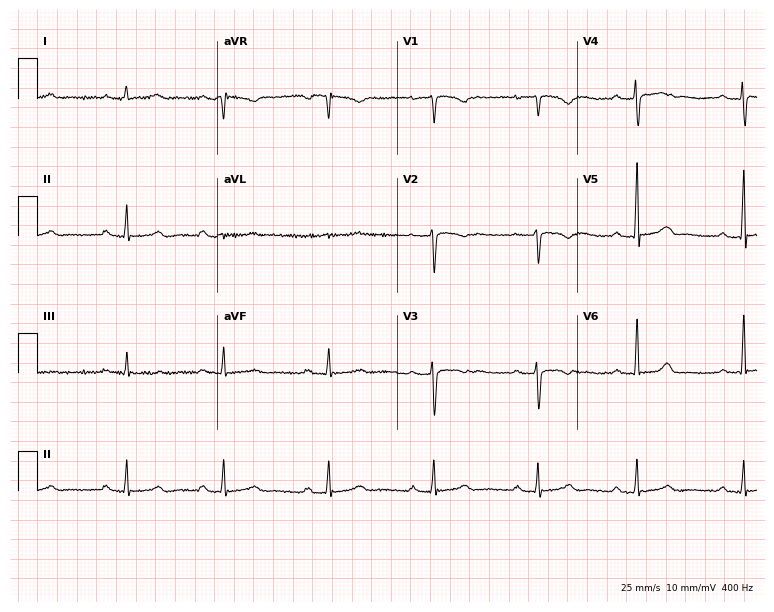
ECG — a female, 30 years old. Findings include first-degree AV block.